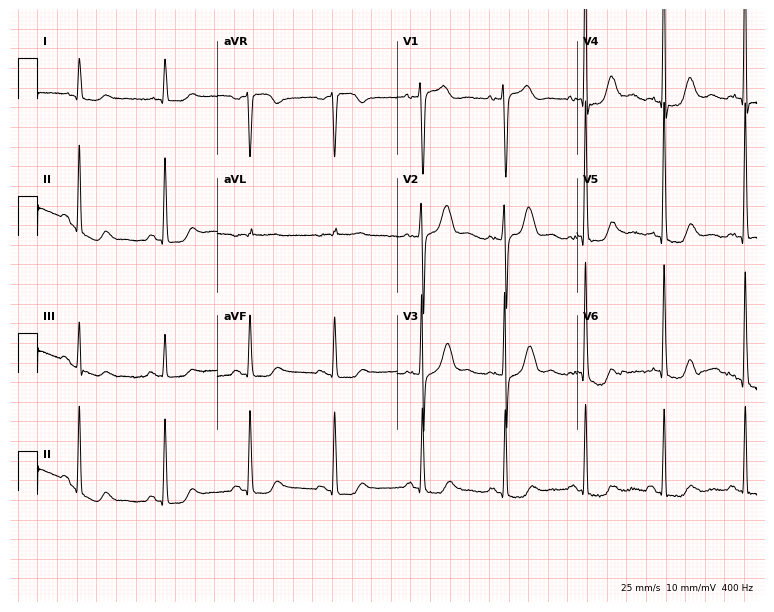
Electrocardiogram (7.3-second recording at 400 Hz), an 81-year-old female patient. Of the six screened findings (first-degree AV block, right bundle branch block (RBBB), left bundle branch block (LBBB), sinus bradycardia, atrial fibrillation (AF), sinus tachycardia), none is recorded.